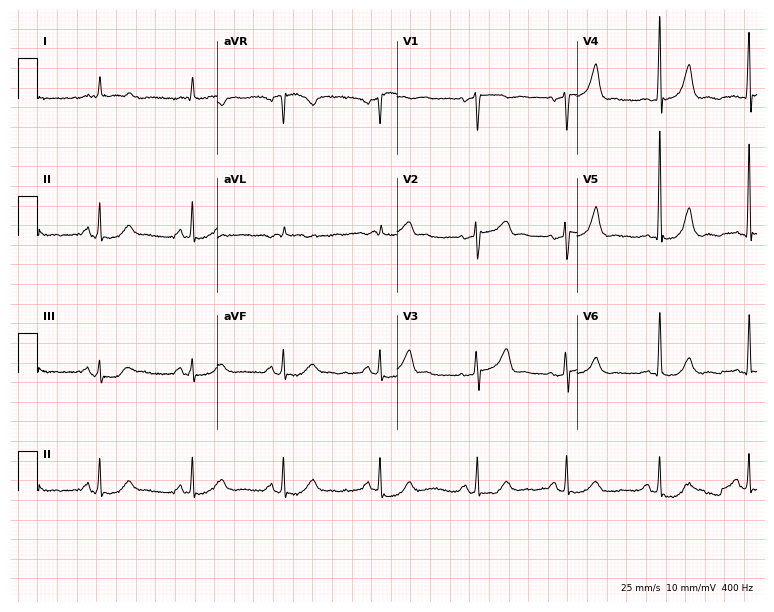
Standard 12-lead ECG recorded from a 60-year-old male (7.3-second recording at 400 Hz). Read as a normal ECG.